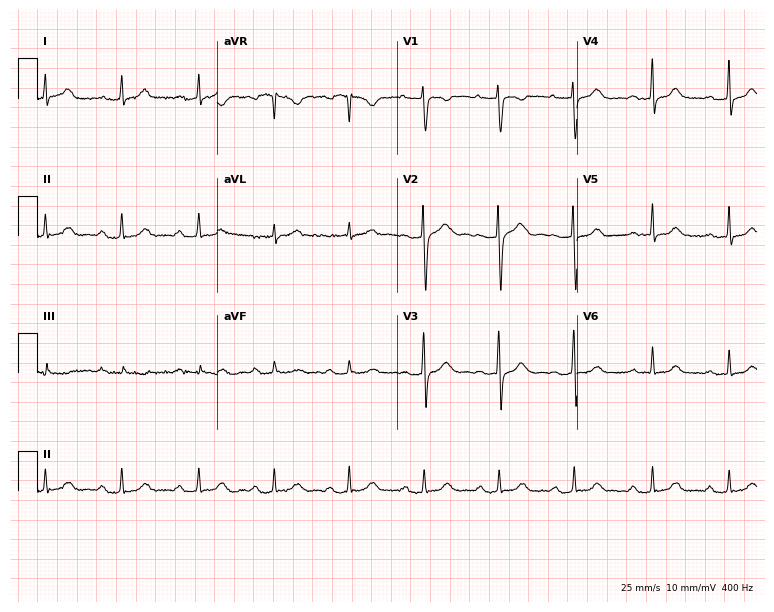
12-lead ECG from a woman, 26 years old. Labelled as a normal ECG.